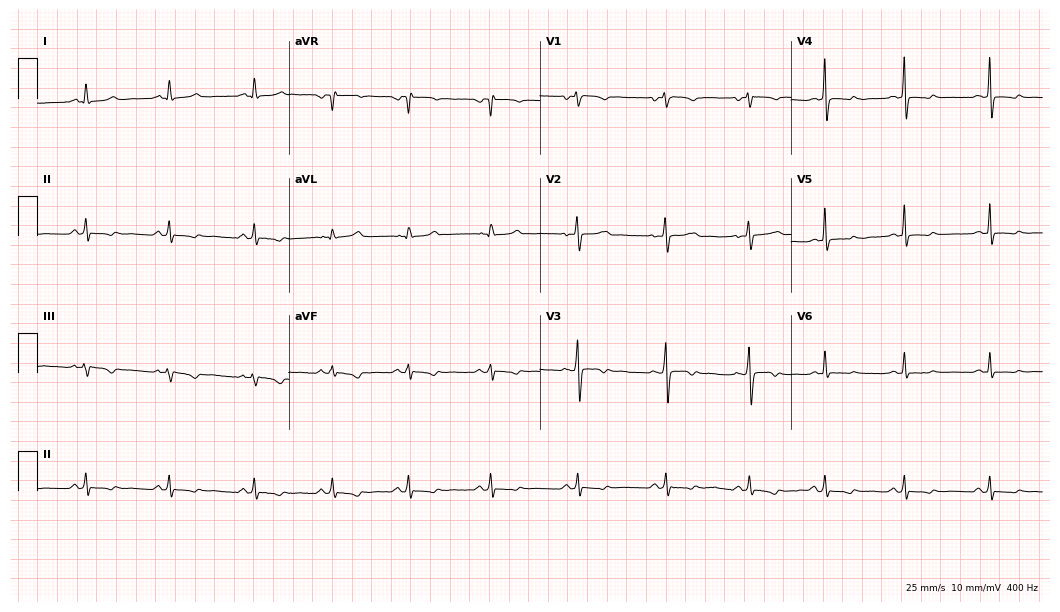
12-lead ECG from a female, 27 years old. No first-degree AV block, right bundle branch block, left bundle branch block, sinus bradycardia, atrial fibrillation or sinus tachycardia recorded for this tracing.